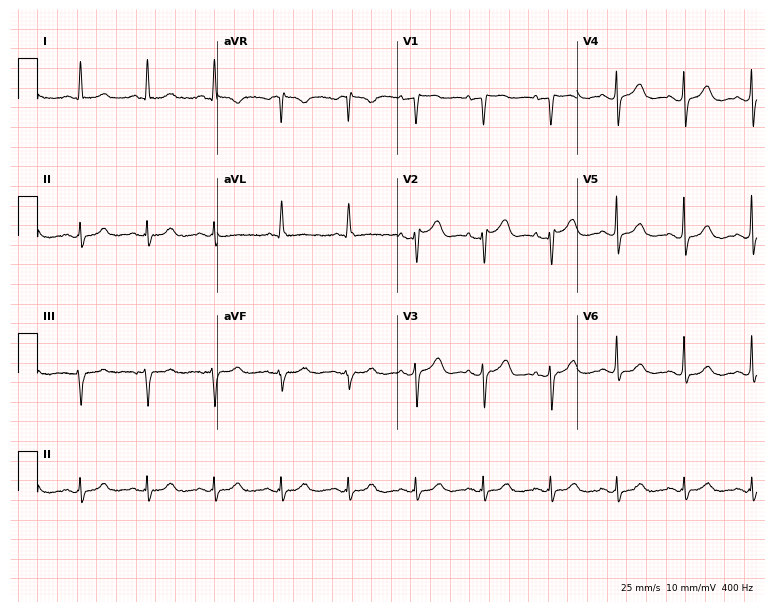
Standard 12-lead ECG recorded from a female patient, 81 years old (7.3-second recording at 400 Hz). Read as a normal ECG.